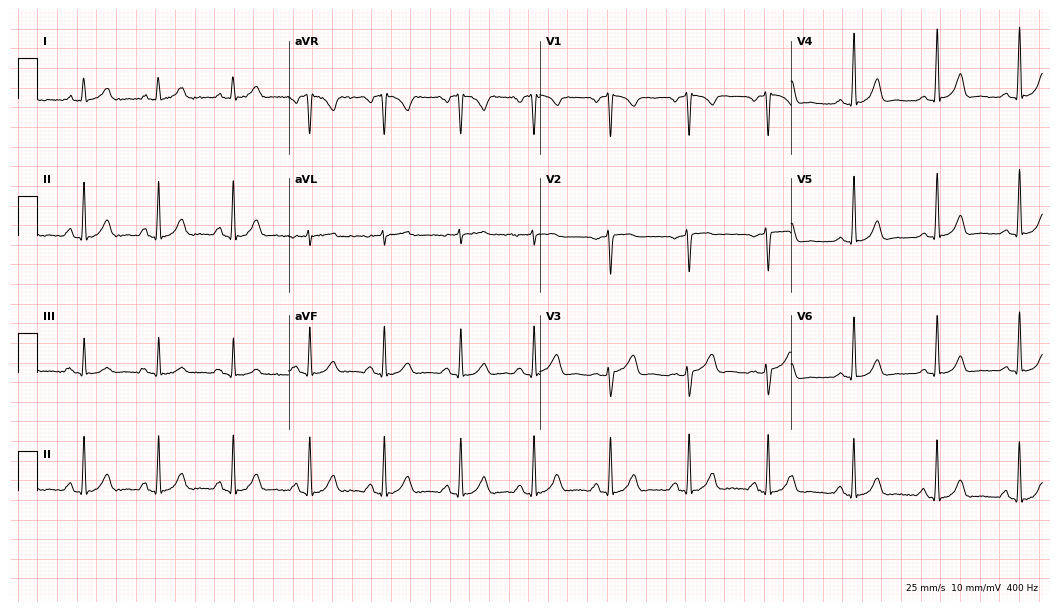
ECG — a 29-year-old female patient. Screened for six findings — first-degree AV block, right bundle branch block, left bundle branch block, sinus bradycardia, atrial fibrillation, sinus tachycardia — none is recorded. Other findings, if any, are not listed.